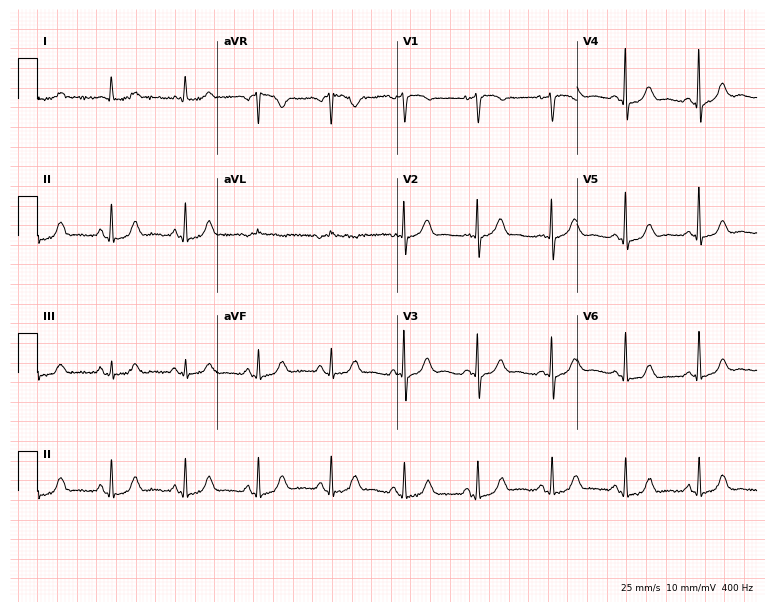
Electrocardiogram, a 63-year-old female patient. Overall reading on record: normal ECG.